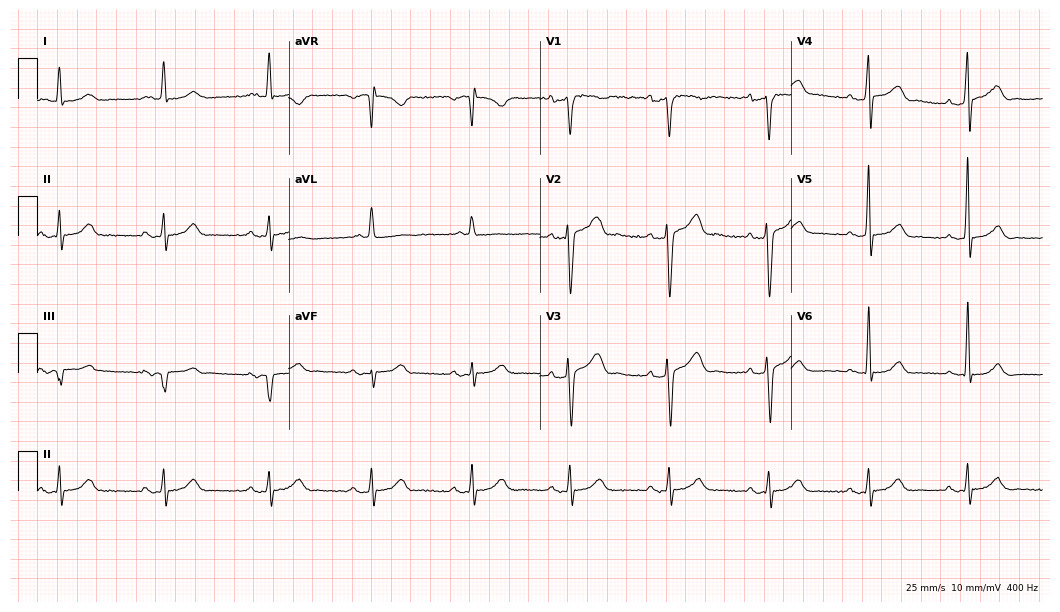
12-lead ECG from a male patient, 38 years old (10.2-second recording at 400 Hz). Recorded interpretation: within normal limits.